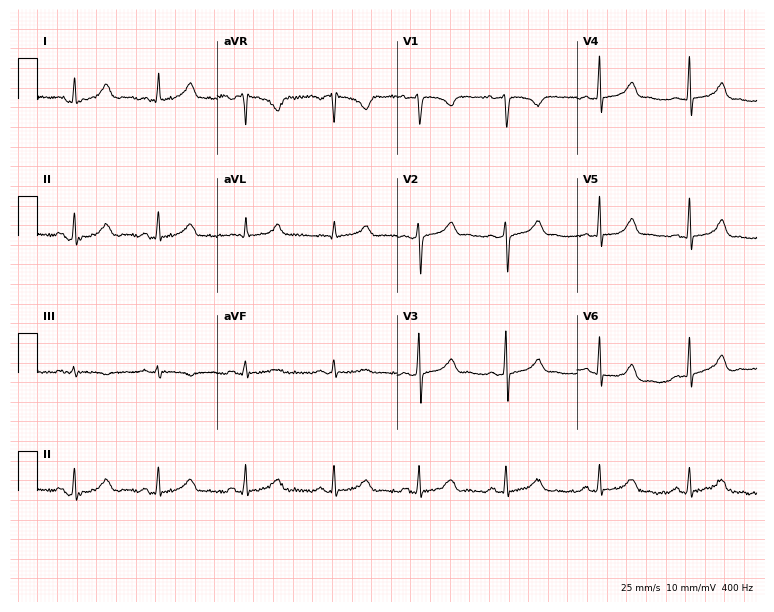
Resting 12-lead electrocardiogram (7.3-second recording at 400 Hz). Patient: a female, 42 years old. Read as a normal ECG.